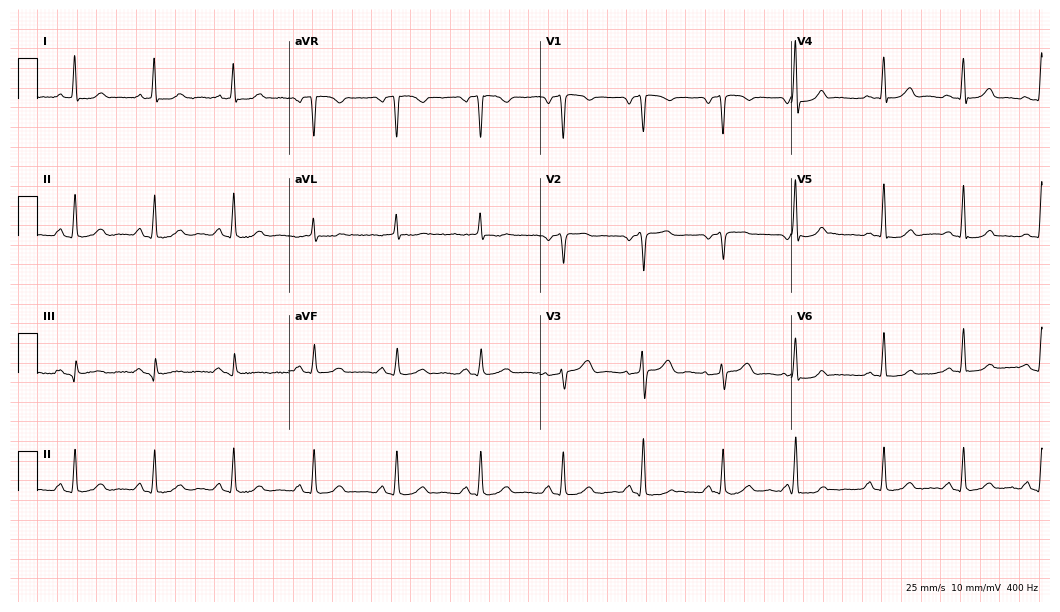
12-lead ECG (10.2-second recording at 400 Hz) from a female, 51 years old. Screened for six findings — first-degree AV block, right bundle branch block, left bundle branch block, sinus bradycardia, atrial fibrillation, sinus tachycardia — none is recorded. Other findings, if any, are not listed.